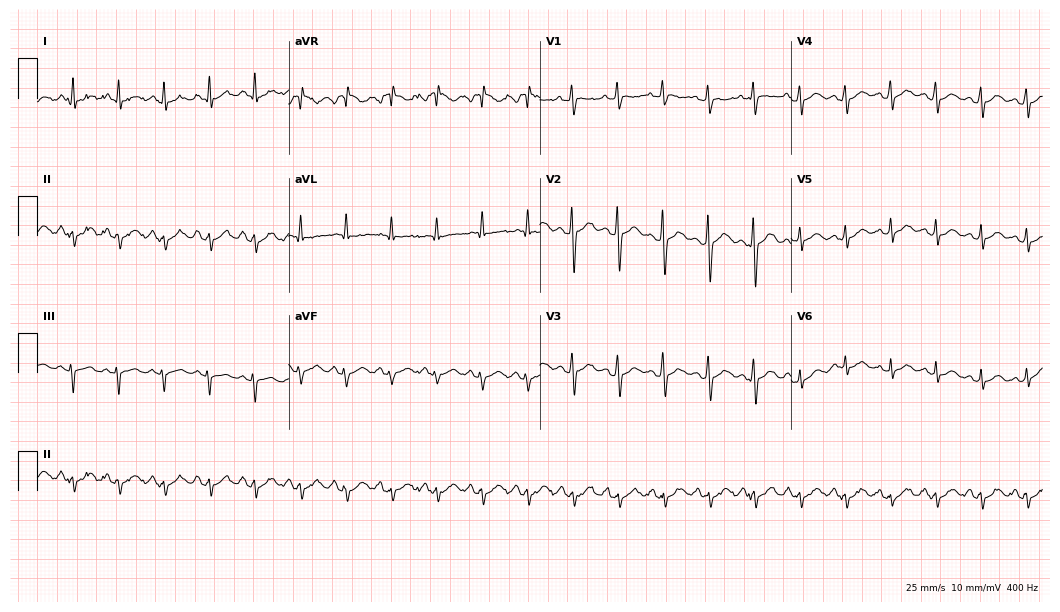
Standard 12-lead ECG recorded from a 29-year-old man (10.2-second recording at 400 Hz). The tracing shows sinus tachycardia (a sinus rate of 100 beats per minute or more).